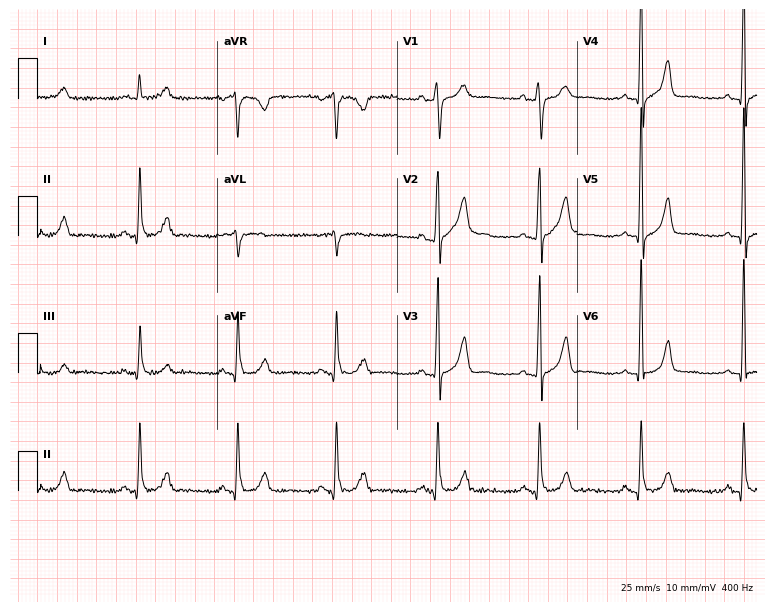
Electrocardiogram, a man, 48 years old. Overall reading on record: normal ECG.